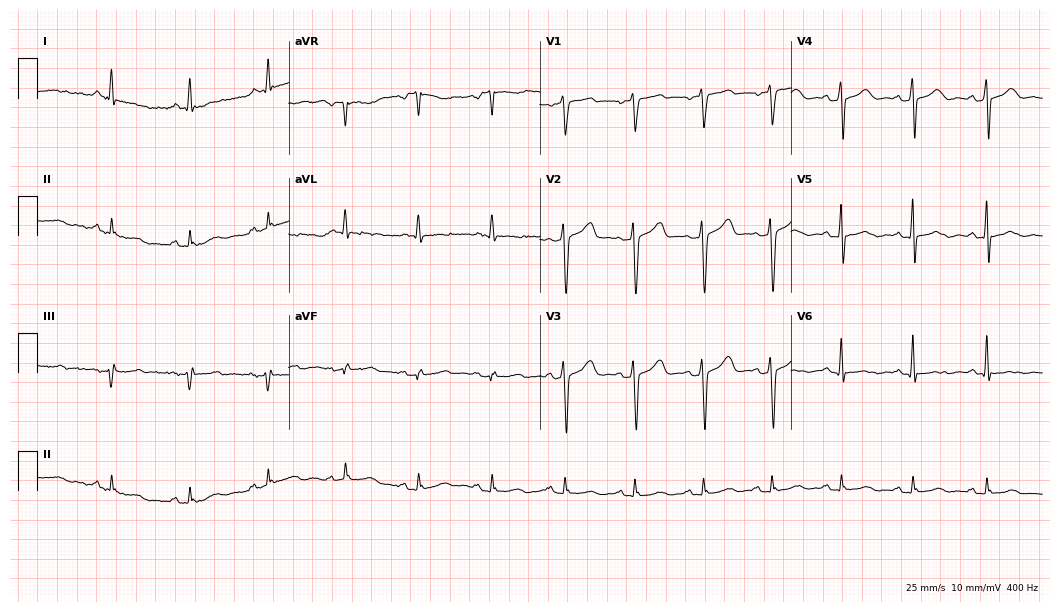
ECG — a 62-year-old man. Screened for six findings — first-degree AV block, right bundle branch block, left bundle branch block, sinus bradycardia, atrial fibrillation, sinus tachycardia — none is recorded.